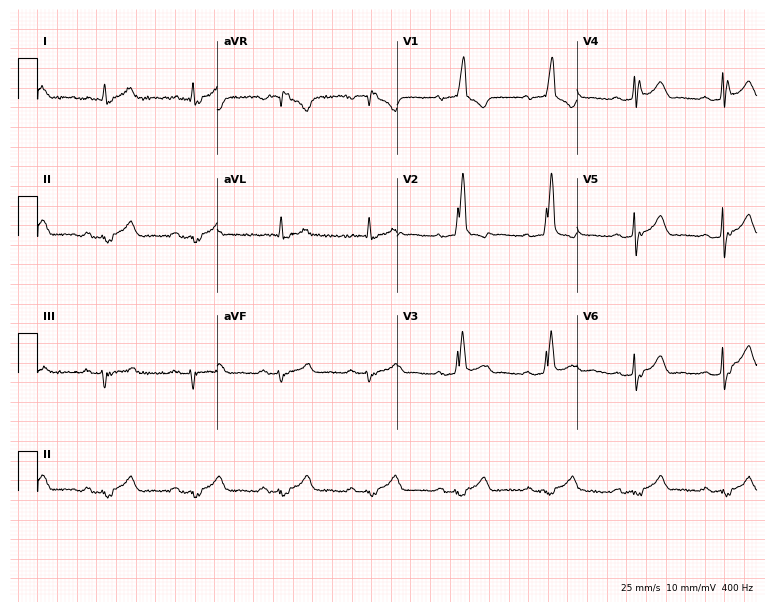
ECG (7.3-second recording at 400 Hz) — a male patient, 62 years old. Findings include right bundle branch block.